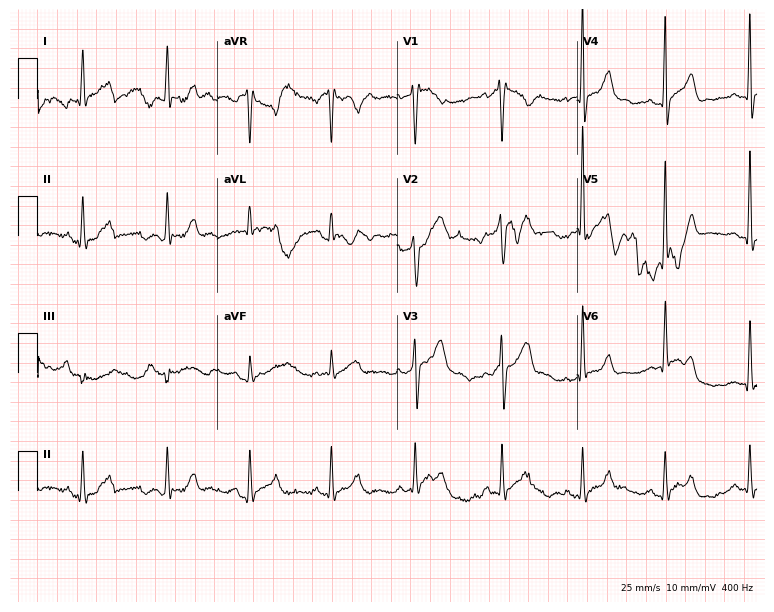
Electrocardiogram (7.3-second recording at 400 Hz), a male, 36 years old. Of the six screened findings (first-degree AV block, right bundle branch block, left bundle branch block, sinus bradycardia, atrial fibrillation, sinus tachycardia), none is recorded. Only these six findings were labelled.